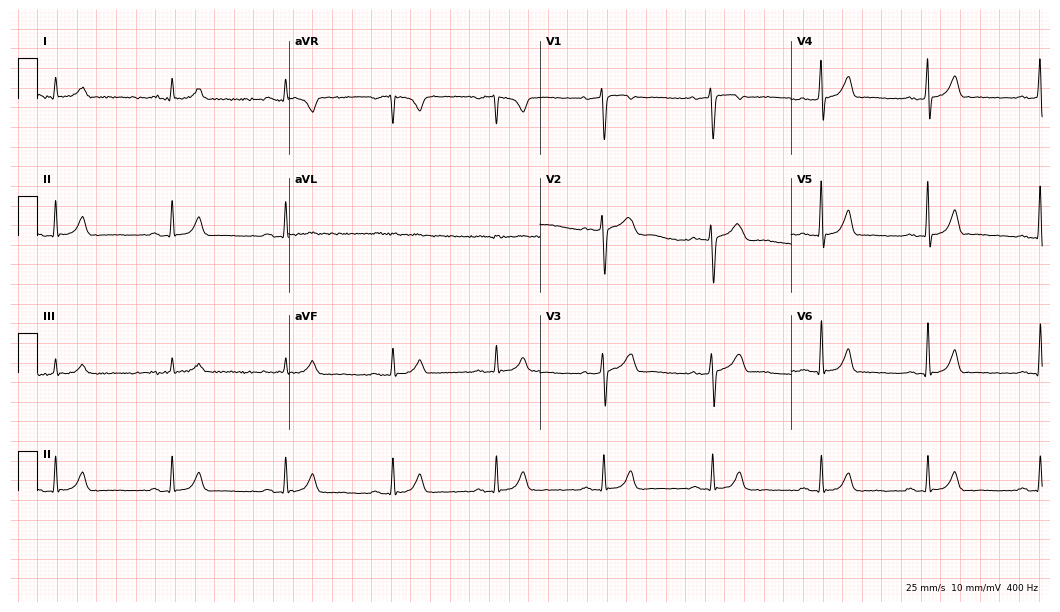
Standard 12-lead ECG recorded from a male patient, 54 years old (10.2-second recording at 400 Hz). Read as a normal ECG.